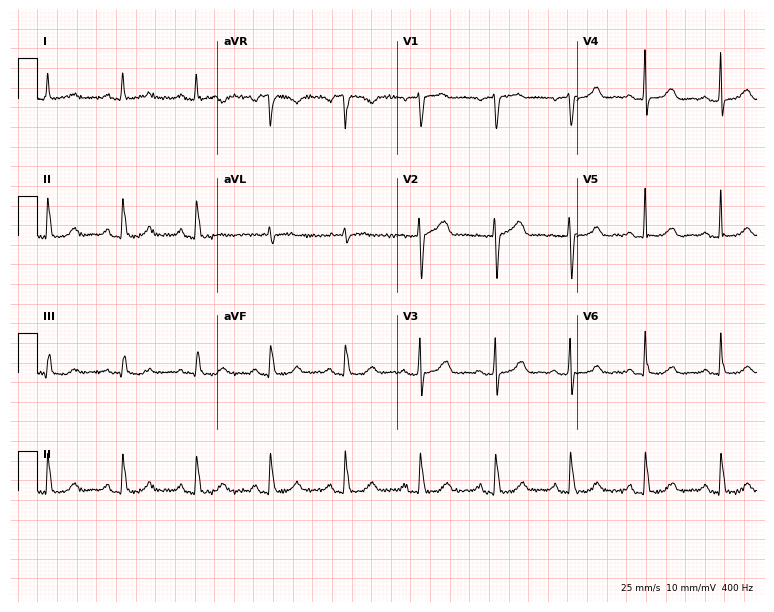
Resting 12-lead electrocardiogram (7.3-second recording at 400 Hz). Patient: a 65-year-old female. Read as a normal ECG.